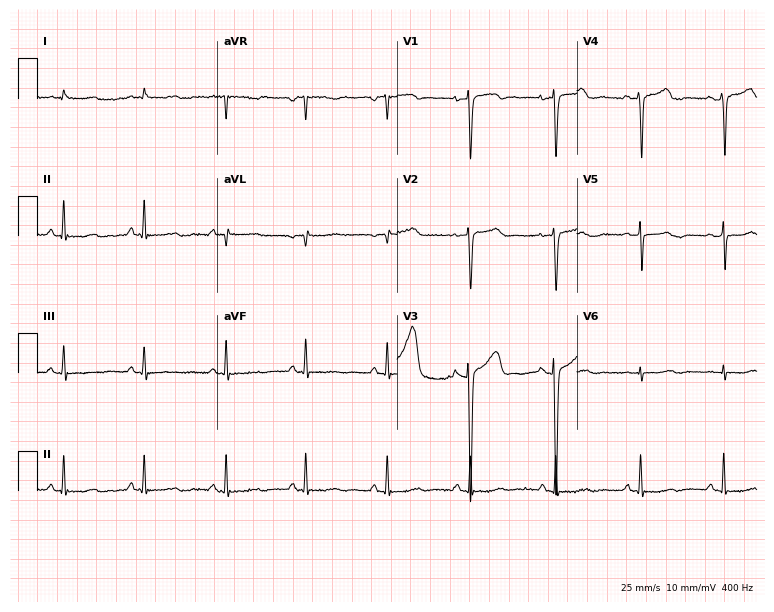
Resting 12-lead electrocardiogram (7.3-second recording at 400 Hz). Patient: a woman, 50 years old. Read as a normal ECG.